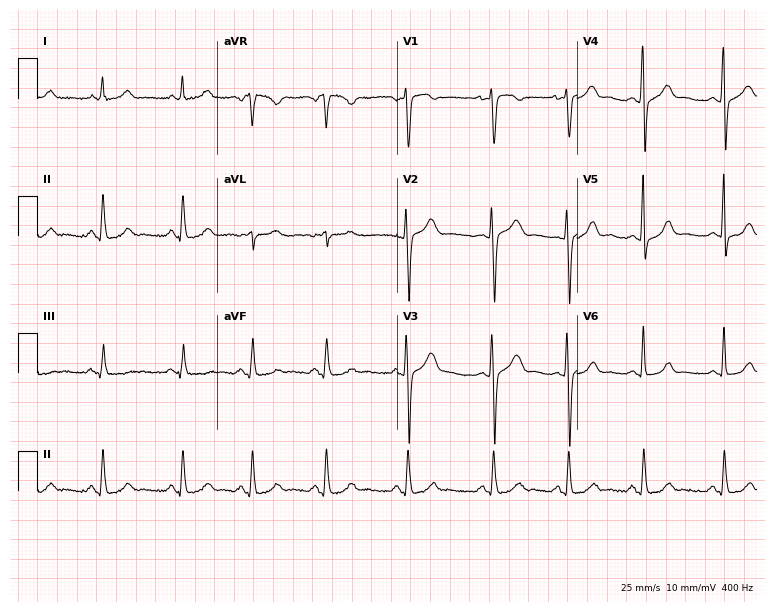
12-lead ECG from a female patient, 22 years old (7.3-second recording at 400 Hz). No first-degree AV block, right bundle branch block, left bundle branch block, sinus bradycardia, atrial fibrillation or sinus tachycardia recorded for this tracing. Only these six findings were labelled.